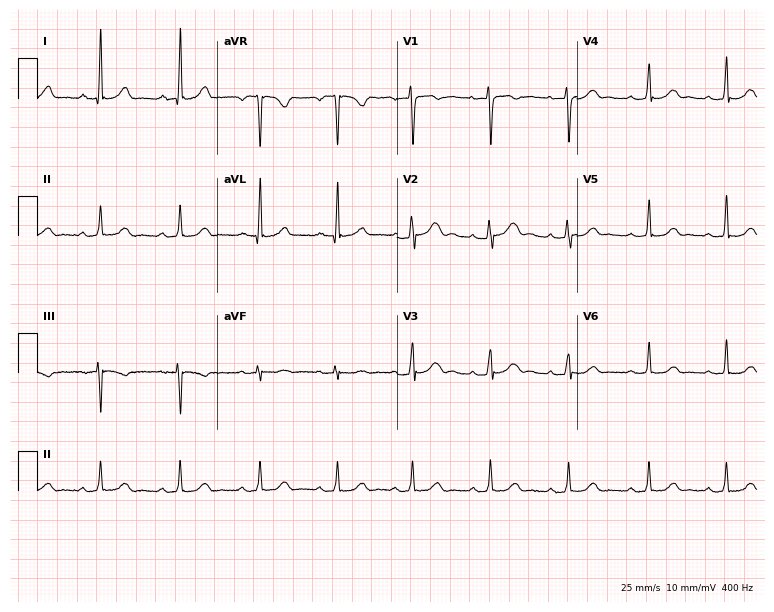
Standard 12-lead ECG recorded from a 41-year-old female. Read as a normal ECG.